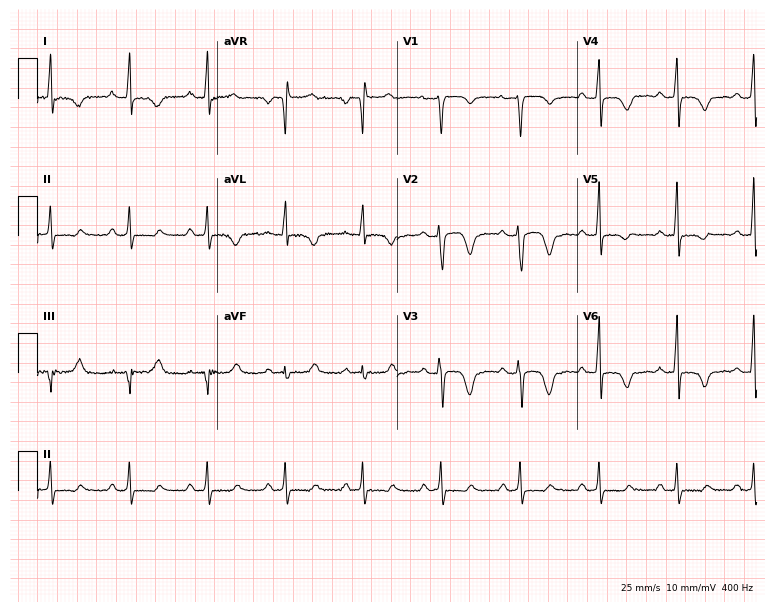
12-lead ECG from a woman, 39 years old. Screened for six findings — first-degree AV block, right bundle branch block, left bundle branch block, sinus bradycardia, atrial fibrillation, sinus tachycardia — none is recorded.